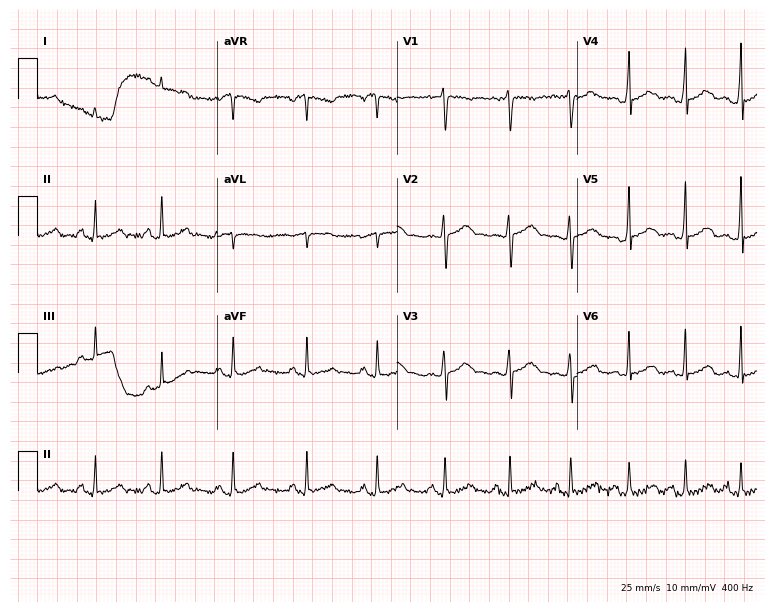
Resting 12-lead electrocardiogram. Patient: a woman, 19 years old. None of these six findings is recorded: first-degree AV block, right bundle branch block, left bundle branch block, sinus bradycardia, atrial fibrillation, sinus tachycardia. Other findings, if any, are not listed.